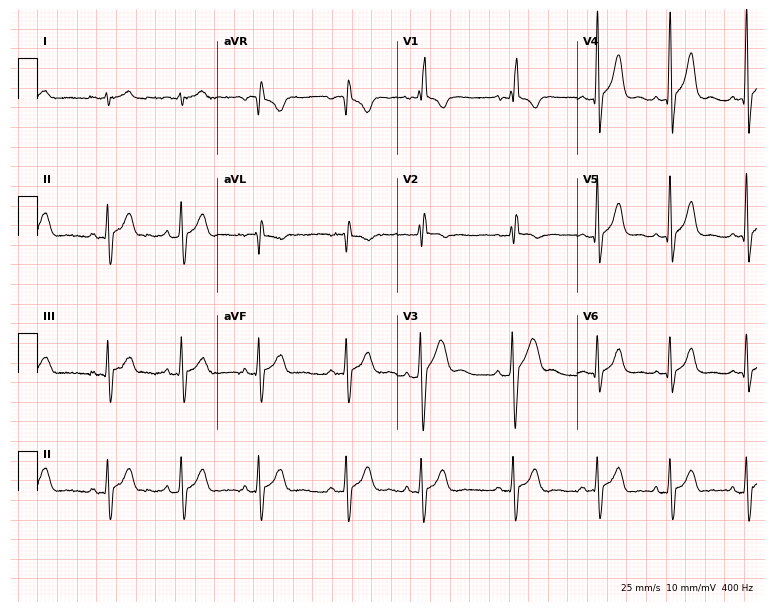
Electrocardiogram (7.3-second recording at 400 Hz), a man, 19 years old. Of the six screened findings (first-degree AV block, right bundle branch block, left bundle branch block, sinus bradycardia, atrial fibrillation, sinus tachycardia), none is recorded. Findings outside these six are not listed.